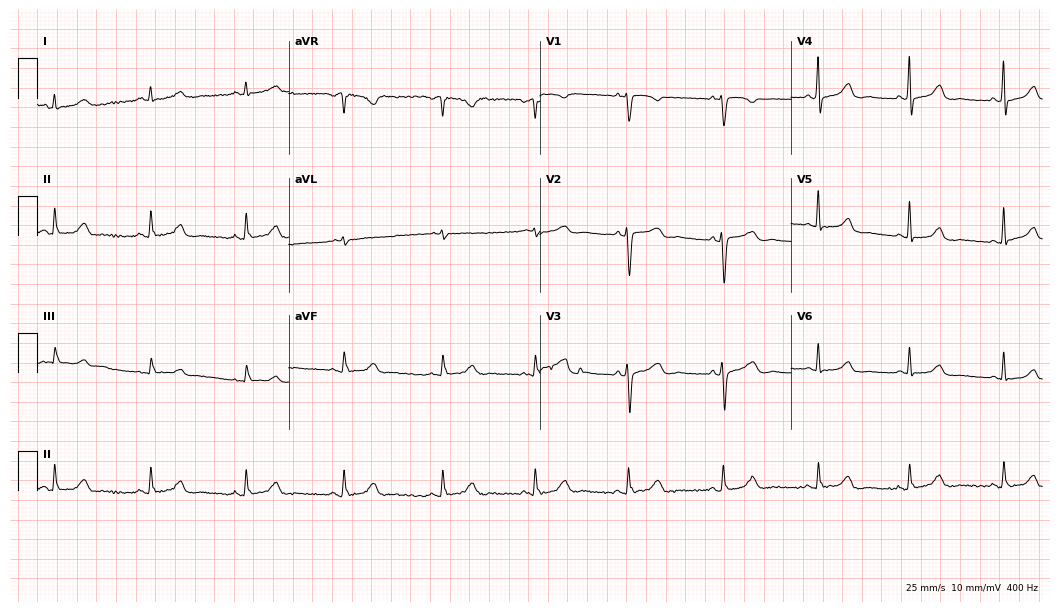
ECG — a woman, 54 years old. Screened for six findings — first-degree AV block, right bundle branch block, left bundle branch block, sinus bradycardia, atrial fibrillation, sinus tachycardia — none is recorded. Other findings, if any, are not listed.